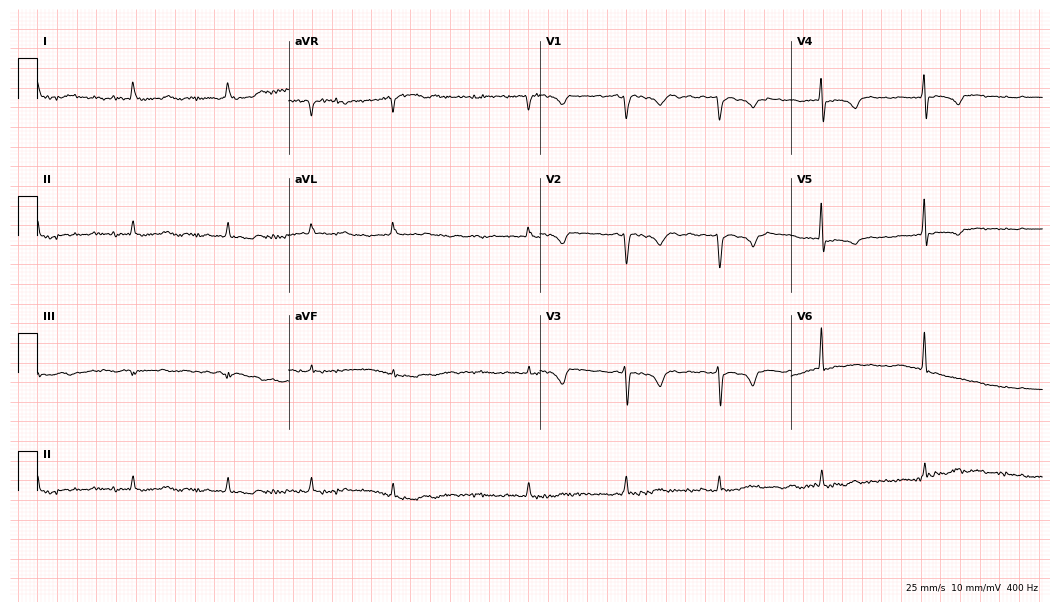
12-lead ECG from a female patient, 70 years old. No first-degree AV block, right bundle branch block, left bundle branch block, sinus bradycardia, atrial fibrillation or sinus tachycardia recorded for this tracing. Findings outside these six are not listed.